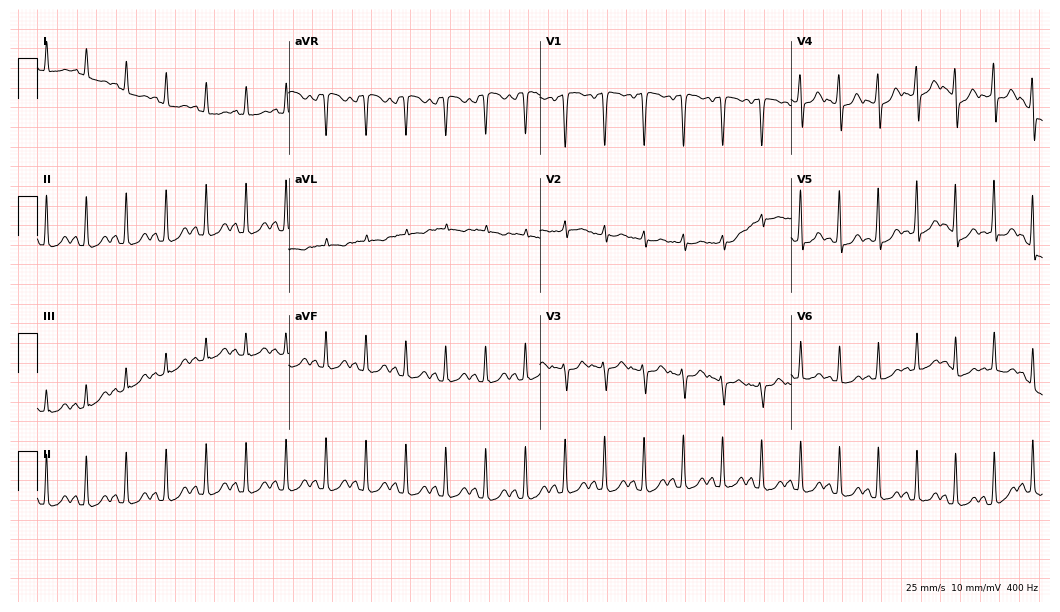
ECG — a woman, 40 years old. Findings include sinus tachycardia (a sinus rate of 100 beats per minute or more).